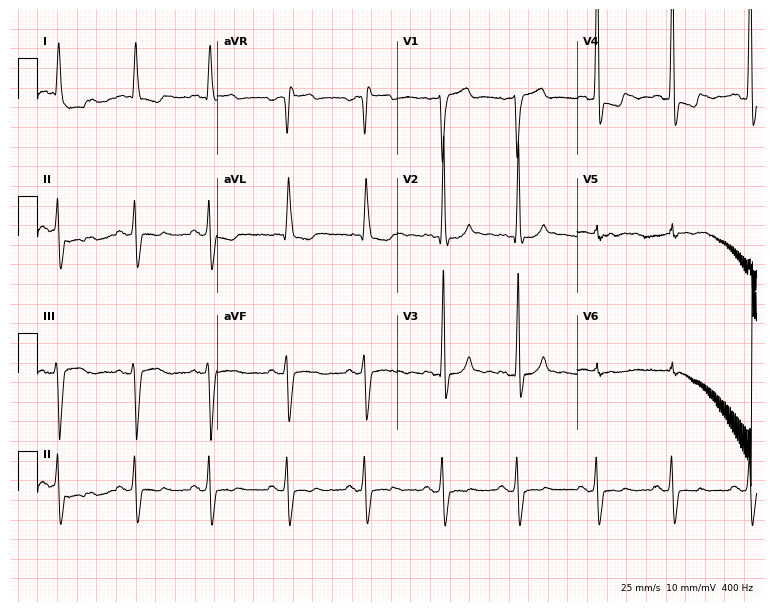
Resting 12-lead electrocardiogram. Patient: a 76-year-old female. None of these six findings is recorded: first-degree AV block, right bundle branch block (RBBB), left bundle branch block (LBBB), sinus bradycardia, atrial fibrillation (AF), sinus tachycardia. Other findings, if any, are not listed.